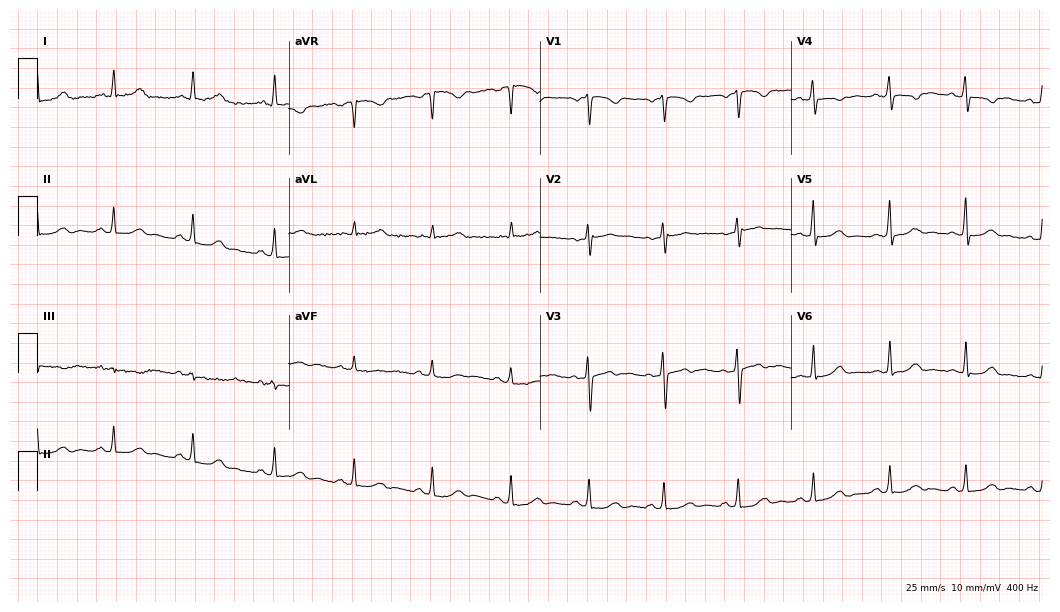
Resting 12-lead electrocardiogram (10.2-second recording at 400 Hz). Patient: a female, 37 years old. Read as a normal ECG.